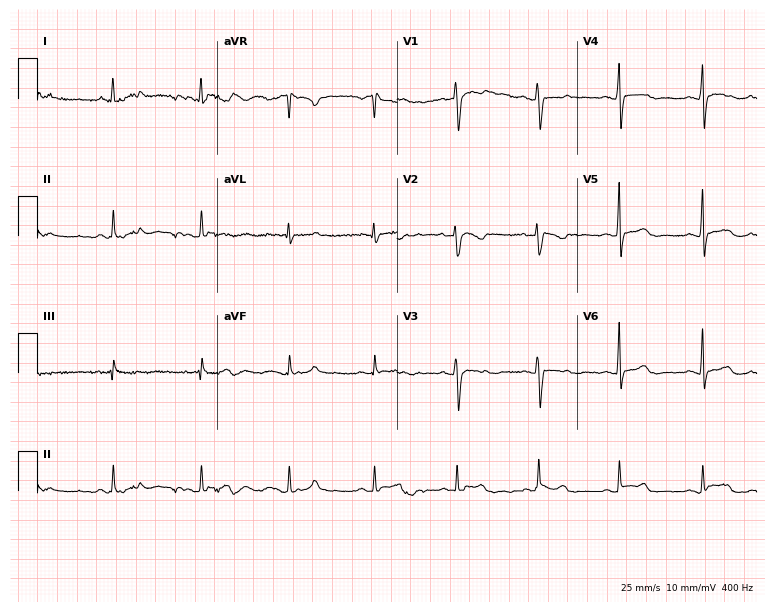
Electrocardiogram (7.3-second recording at 400 Hz), a 33-year-old woman. Overall reading on record: normal ECG.